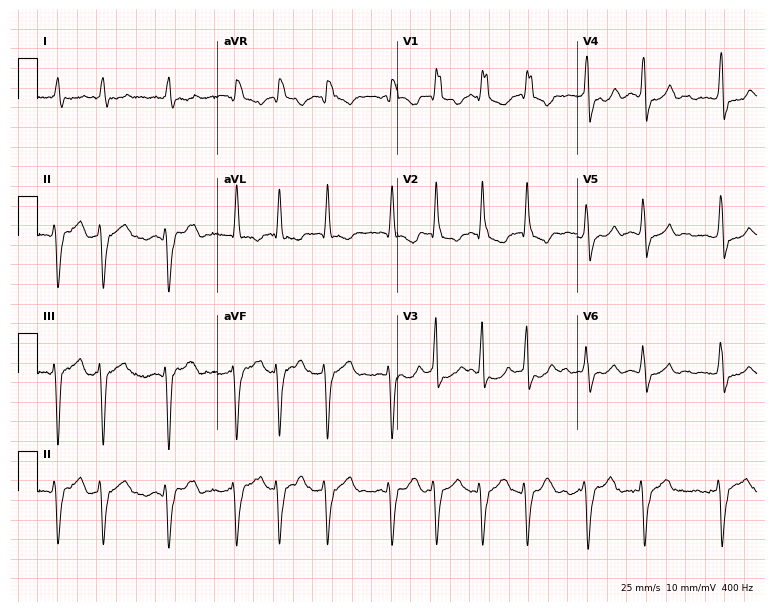
Electrocardiogram (7.3-second recording at 400 Hz), an 82-year-old male. Interpretation includes right bundle branch block, atrial fibrillation.